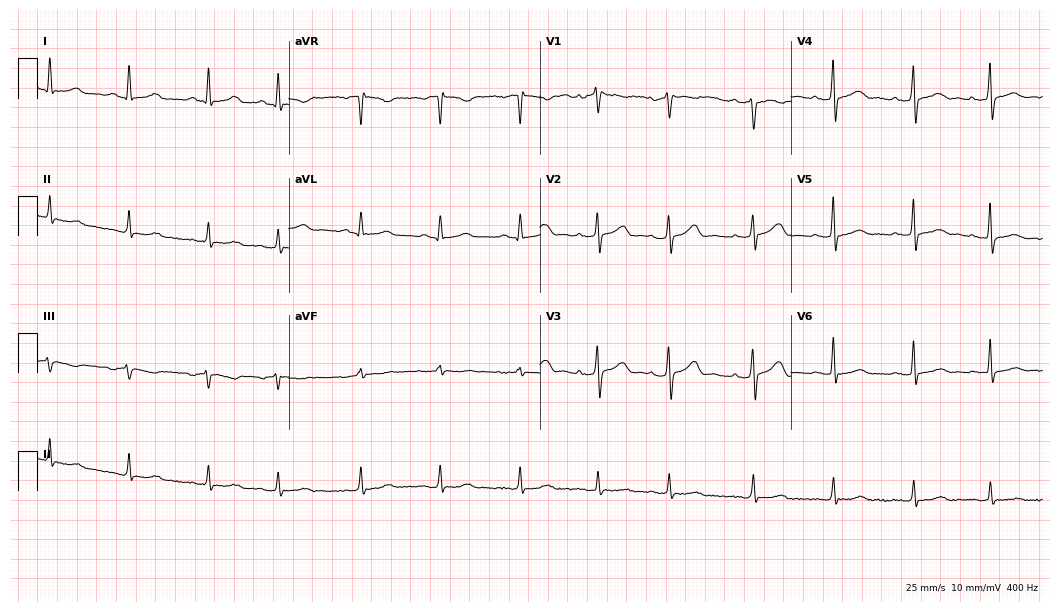
12-lead ECG (10.2-second recording at 400 Hz) from a 44-year-old female. Labelled as a normal ECG.